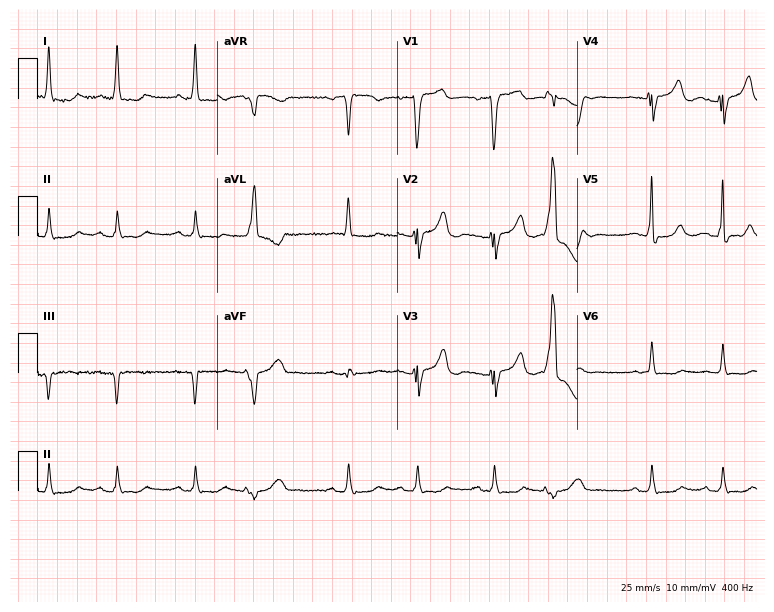
Electrocardiogram, a female, 66 years old. Overall reading on record: normal ECG.